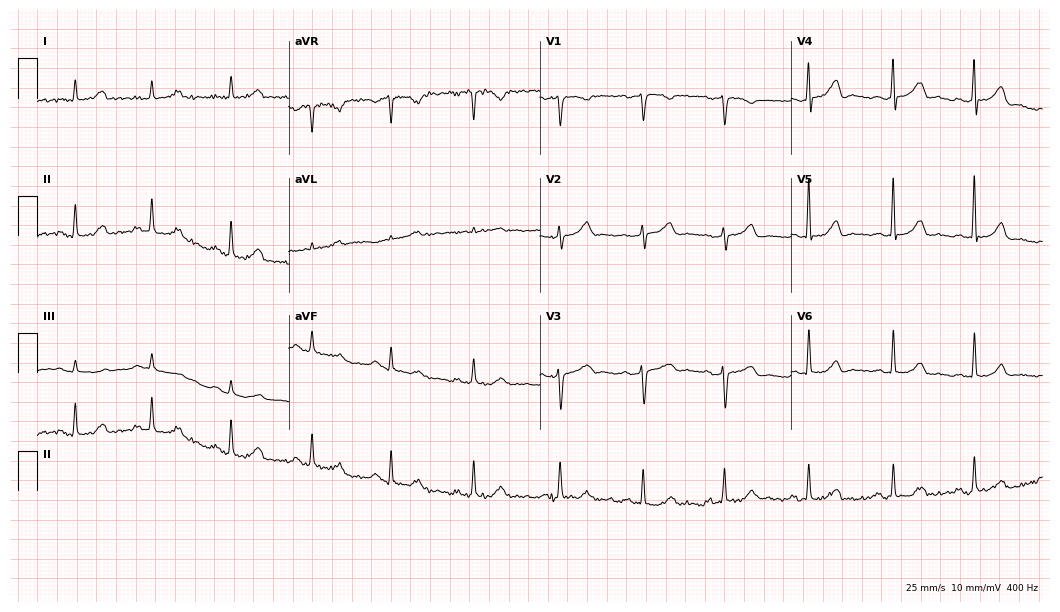
Electrocardiogram, a female, 47 years old. Of the six screened findings (first-degree AV block, right bundle branch block, left bundle branch block, sinus bradycardia, atrial fibrillation, sinus tachycardia), none is recorded.